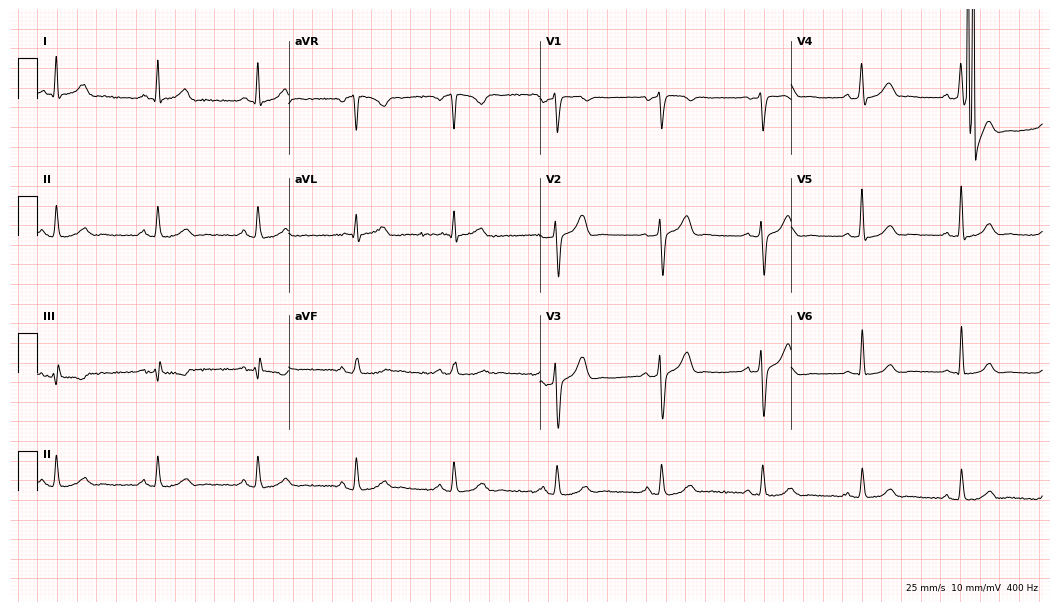
12-lead ECG from a man, 47 years old. Recorded interpretation: within normal limits.